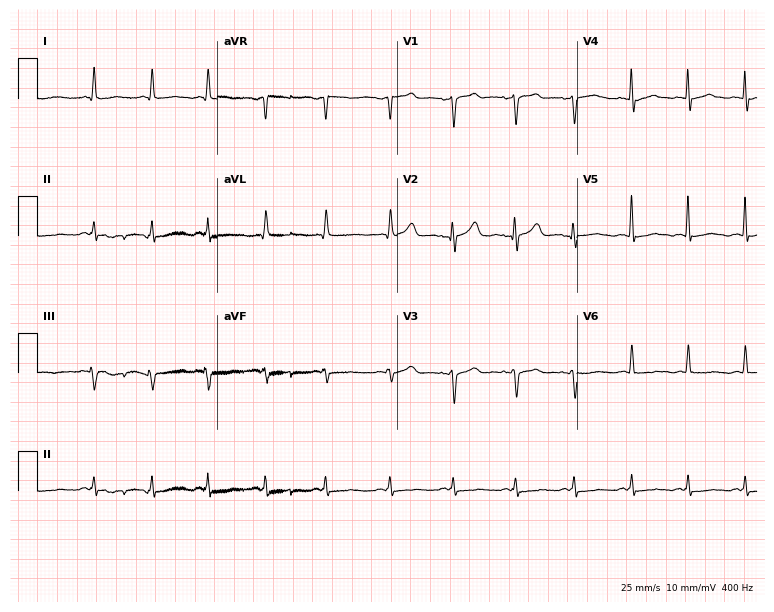
12-lead ECG (7.3-second recording at 400 Hz) from a 39-year-old male patient. Screened for six findings — first-degree AV block, right bundle branch block, left bundle branch block, sinus bradycardia, atrial fibrillation, sinus tachycardia — none is recorded.